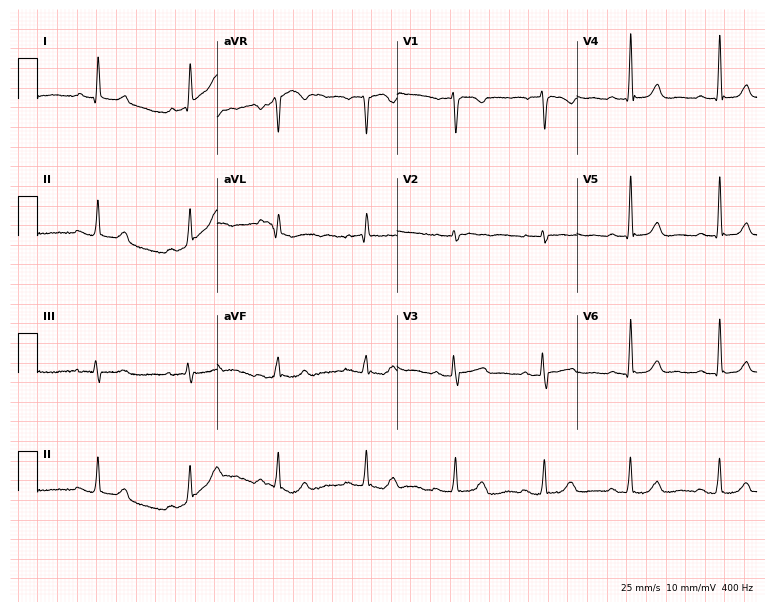
Resting 12-lead electrocardiogram (7.3-second recording at 400 Hz). Patient: a 52-year-old female. Read as a normal ECG.